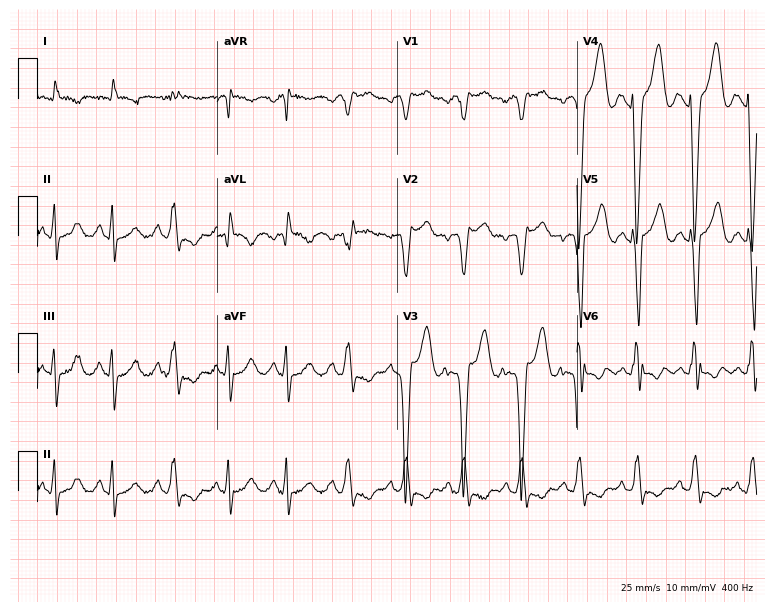
ECG — a 59-year-old woman. Findings include sinus tachycardia (a sinus rate of 100 beats per minute or more).